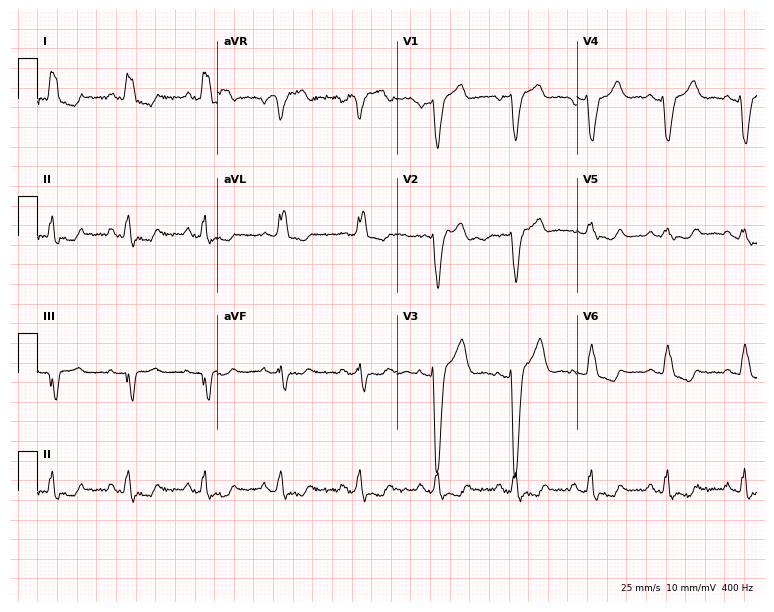
Electrocardiogram, a 51-year-old woman. Interpretation includes left bundle branch block (LBBB).